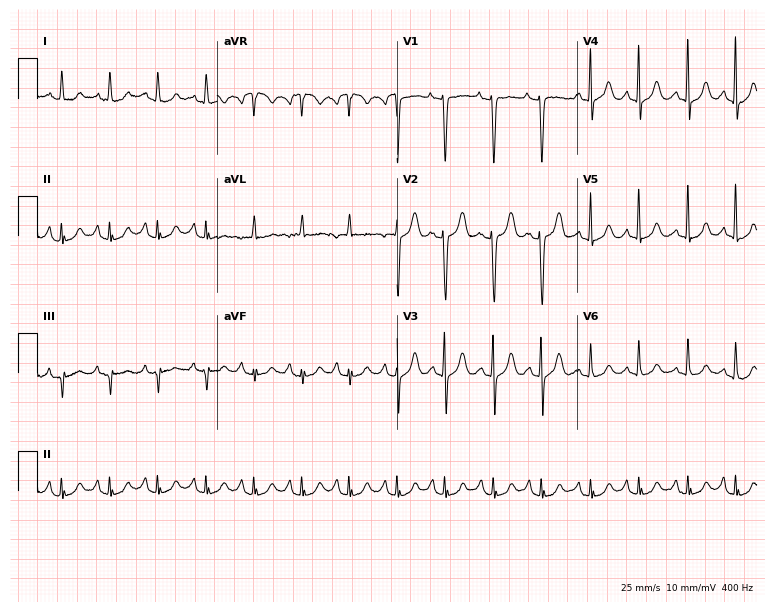
Resting 12-lead electrocardiogram. Patient: a 73-year-old female. The tracing shows sinus tachycardia (a sinus rate of 100 beats per minute or more).